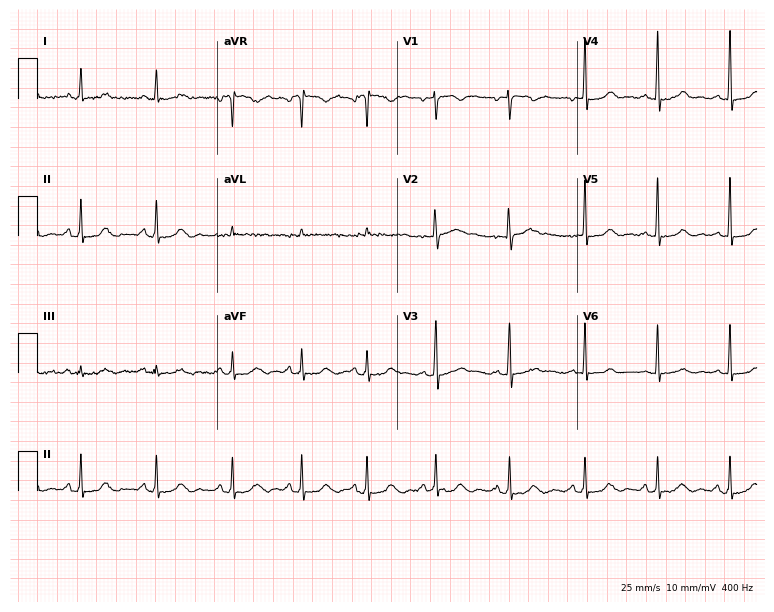
12-lead ECG from a woman, 53 years old. Labelled as a normal ECG.